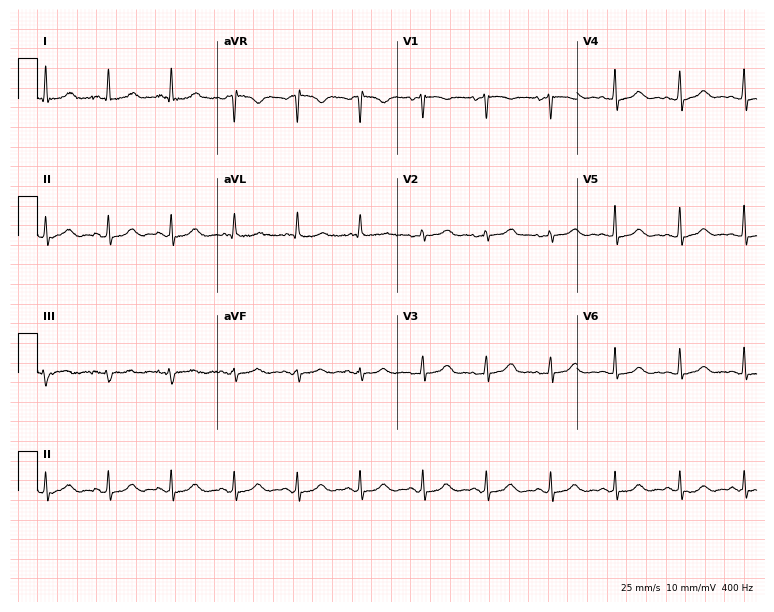
Standard 12-lead ECG recorded from a female, 66 years old (7.3-second recording at 400 Hz). Read as a normal ECG.